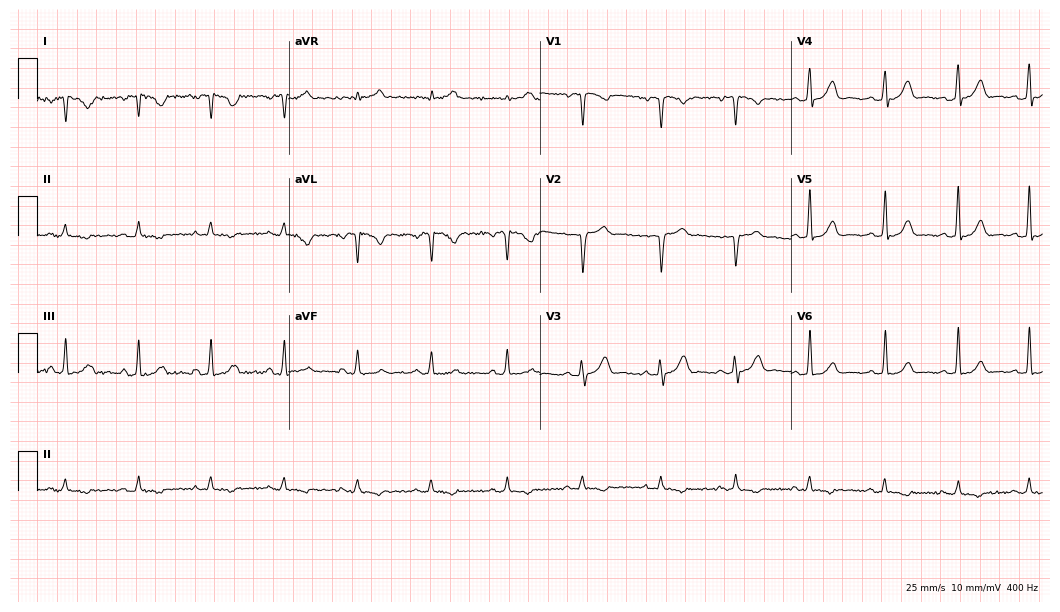
12-lead ECG from a 37-year-old woman. No first-degree AV block, right bundle branch block (RBBB), left bundle branch block (LBBB), sinus bradycardia, atrial fibrillation (AF) or sinus tachycardia recorded for this tracing. Other findings, if any, are not listed.